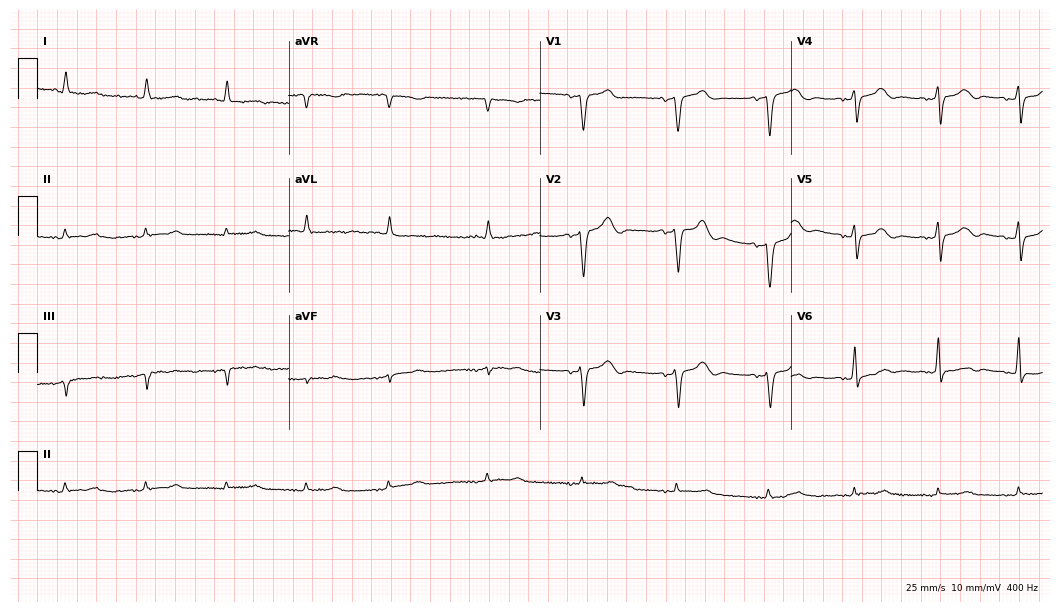
Resting 12-lead electrocardiogram. Patient: a woman, 79 years old. None of these six findings is recorded: first-degree AV block, right bundle branch block, left bundle branch block, sinus bradycardia, atrial fibrillation, sinus tachycardia. Only these six findings were labelled.